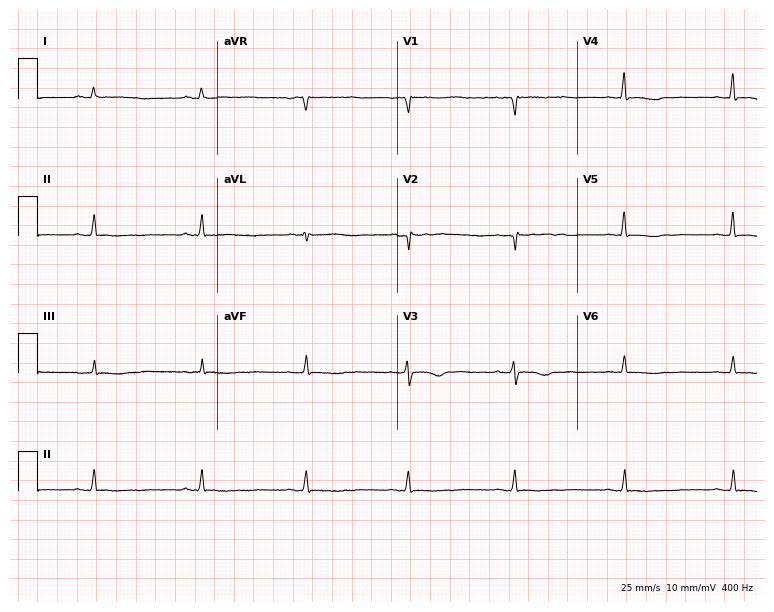
12-lead ECG from a 56-year-old female patient (7.3-second recording at 400 Hz). No first-degree AV block, right bundle branch block (RBBB), left bundle branch block (LBBB), sinus bradycardia, atrial fibrillation (AF) or sinus tachycardia recorded for this tracing.